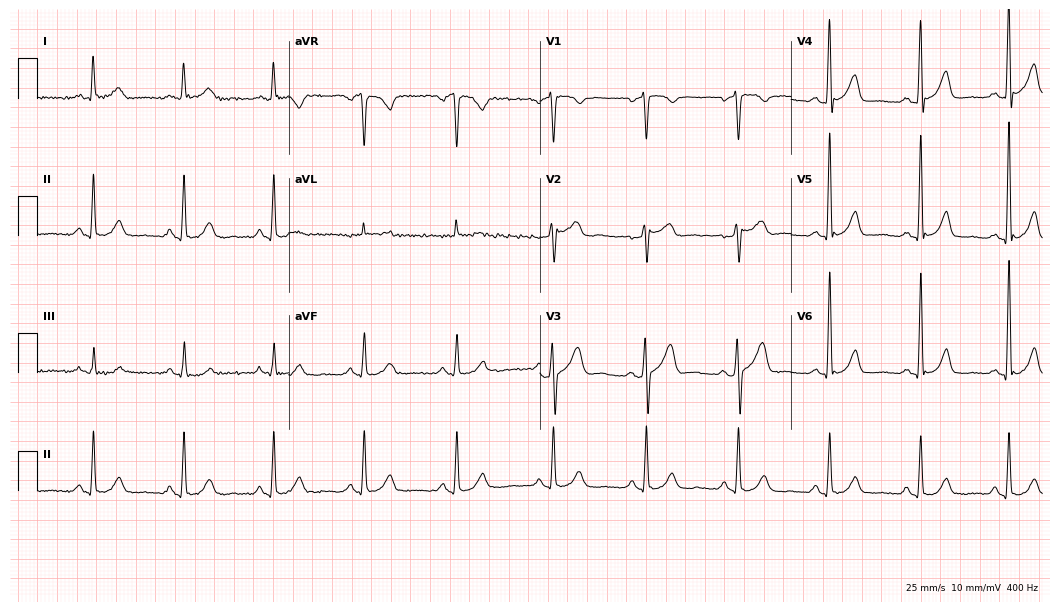
Standard 12-lead ECG recorded from a male patient, 65 years old (10.2-second recording at 400 Hz). Read as a normal ECG.